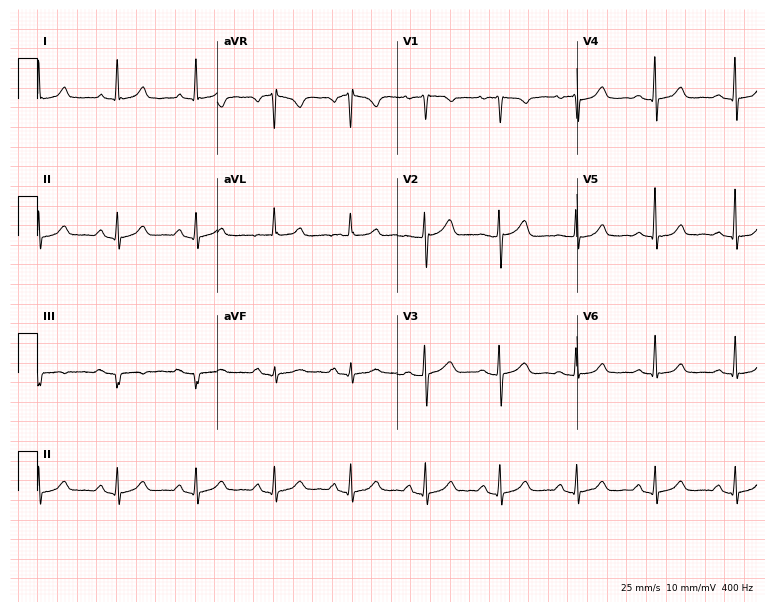
12-lead ECG from a female, 60 years old (7.3-second recording at 400 Hz). Recorded interpretation: within normal limits.